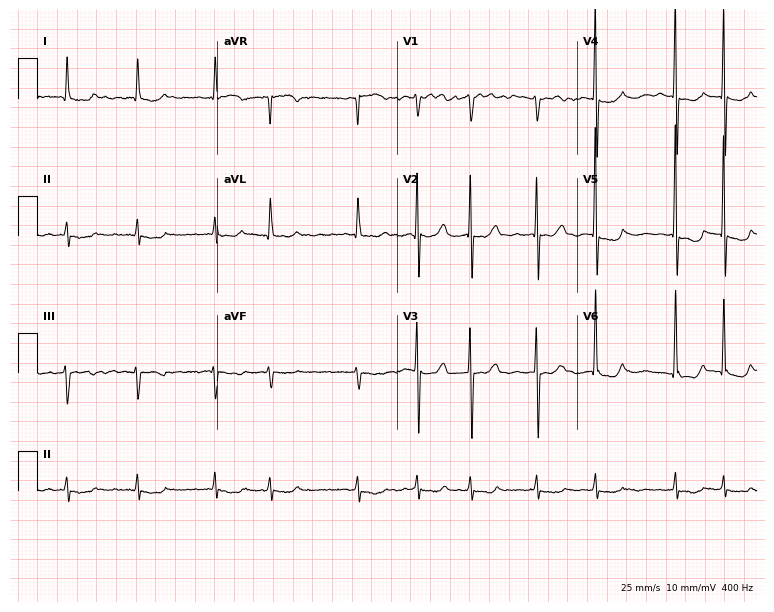
Electrocardiogram (7.3-second recording at 400 Hz), a man, 82 years old. Interpretation includes atrial fibrillation.